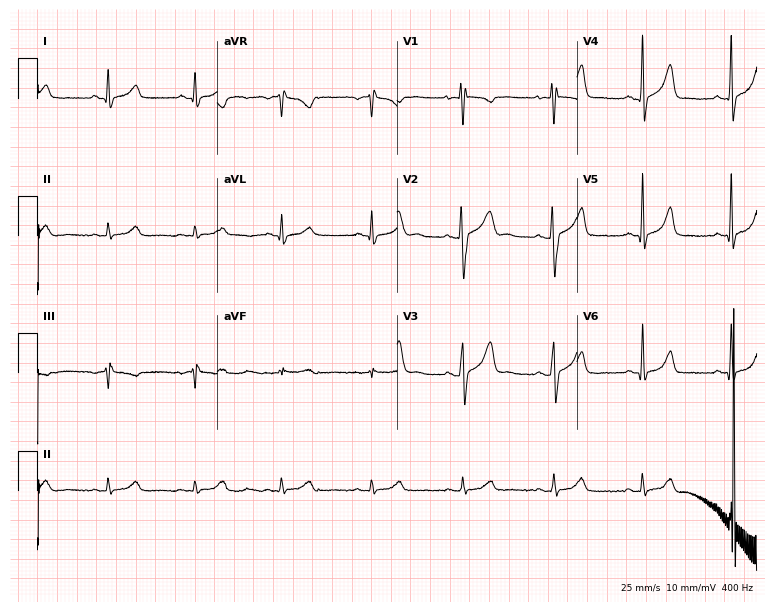
ECG — a female patient, 30 years old. Screened for six findings — first-degree AV block, right bundle branch block (RBBB), left bundle branch block (LBBB), sinus bradycardia, atrial fibrillation (AF), sinus tachycardia — none is recorded.